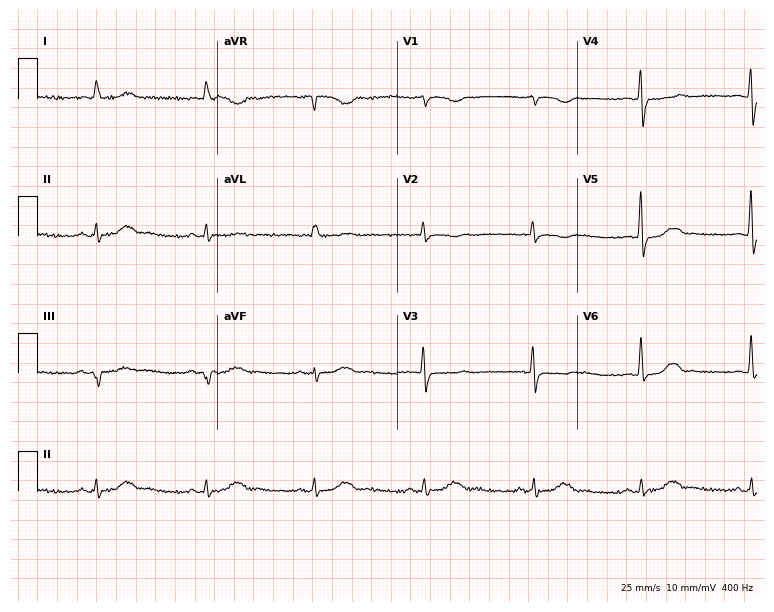
Standard 12-lead ECG recorded from a 70-year-old man. Read as a normal ECG.